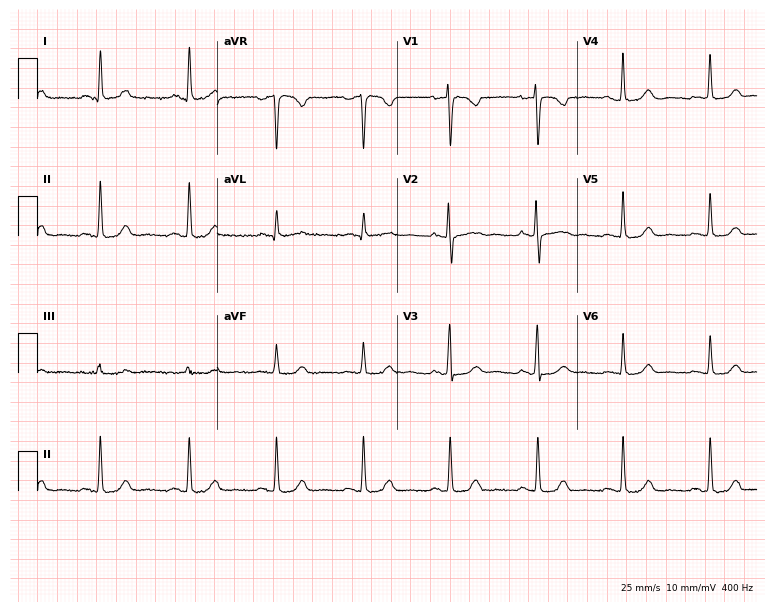
Electrocardiogram (7.3-second recording at 400 Hz), a woman, 56 years old. Overall reading on record: normal ECG.